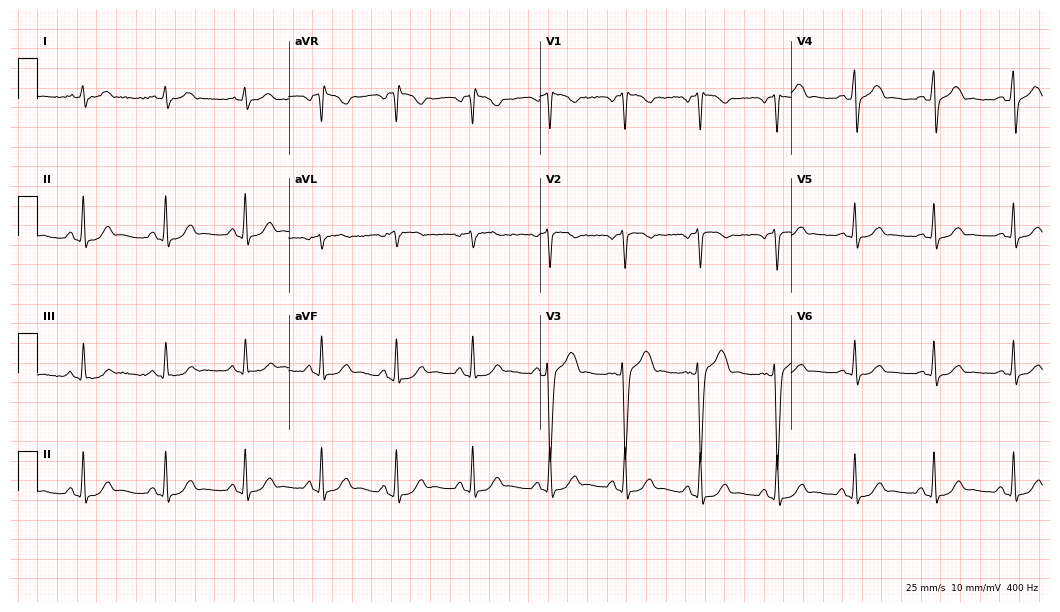
Electrocardiogram, a 25-year-old man. Of the six screened findings (first-degree AV block, right bundle branch block (RBBB), left bundle branch block (LBBB), sinus bradycardia, atrial fibrillation (AF), sinus tachycardia), none is recorded. Only these six findings were labelled.